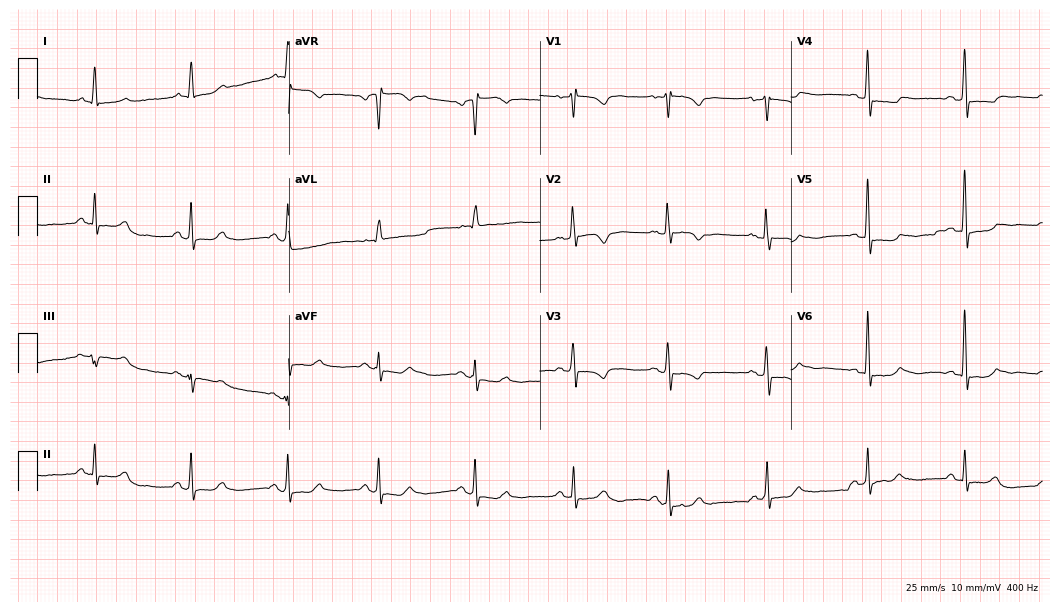
Standard 12-lead ECG recorded from a 64-year-old female patient. None of these six findings is recorded: first-degree AV block, right bundle branch block, left bundle branch block, sinus bradycardia, atrial fibrillation, sinus tachycardia. Findings outside these six are not listed.